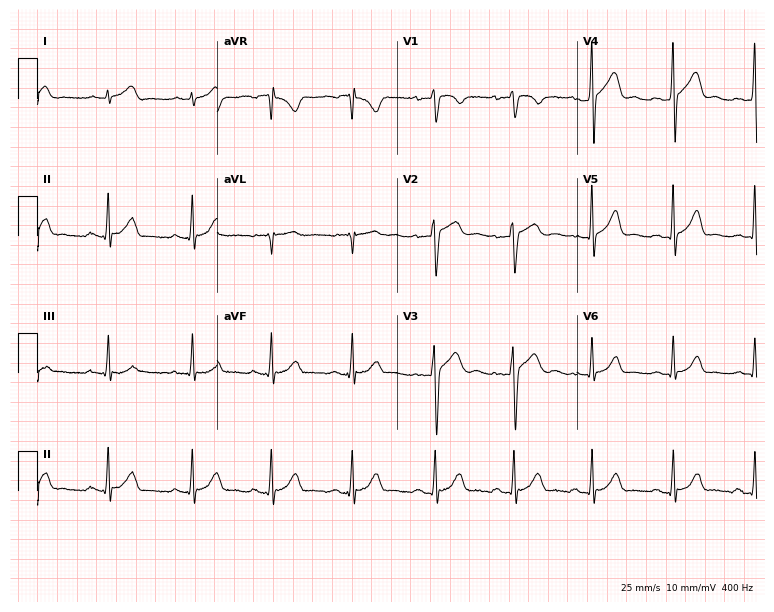
12-lead ECG from a man, 24 years old. Labelled as a normal ECG.